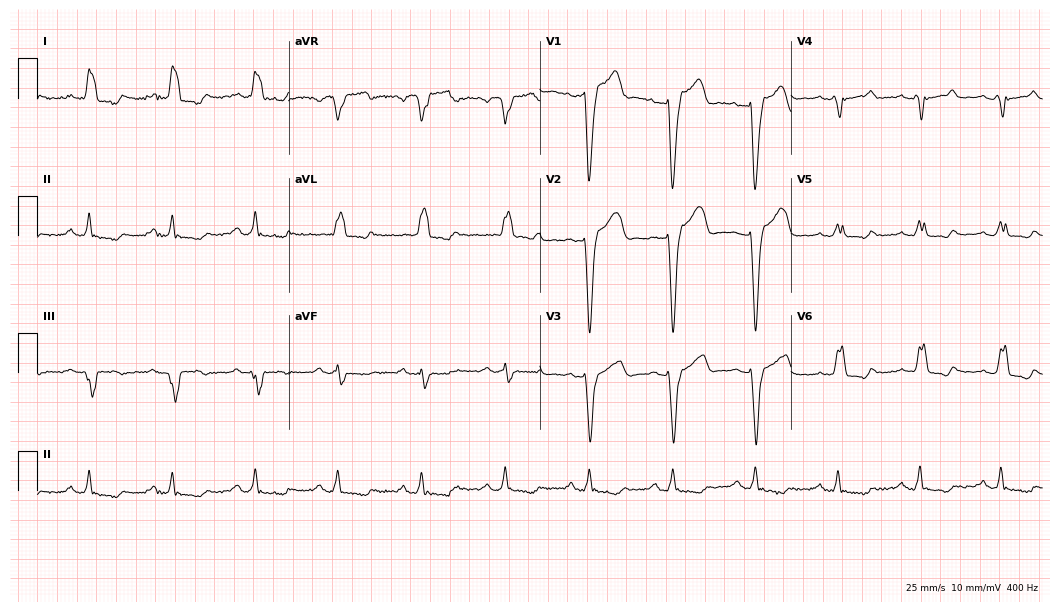
Standard 12-lead ECG recorded from a 63-year-old man. The tracing shows left bundle branch block (LBBB).